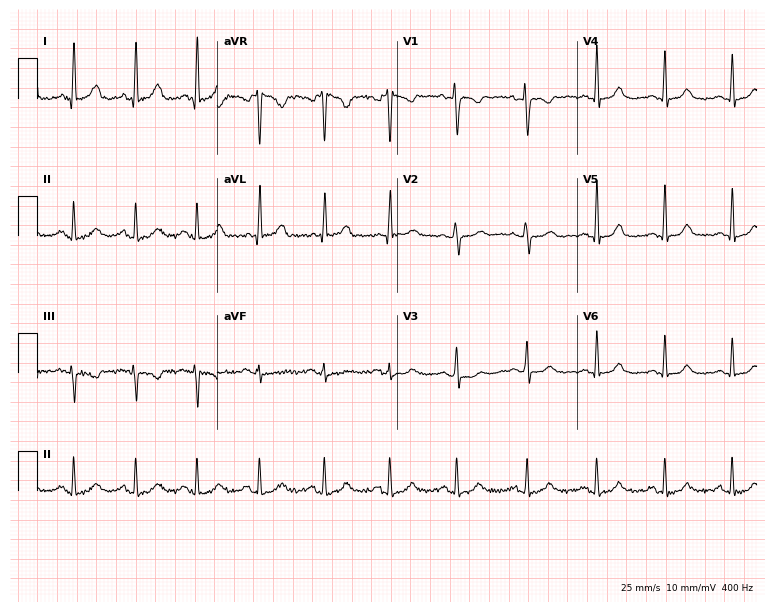
Electrocardiogram (7.3-second recording at 400 Hz), a woman, 48 years old. Overall reading on record: normal ECG.